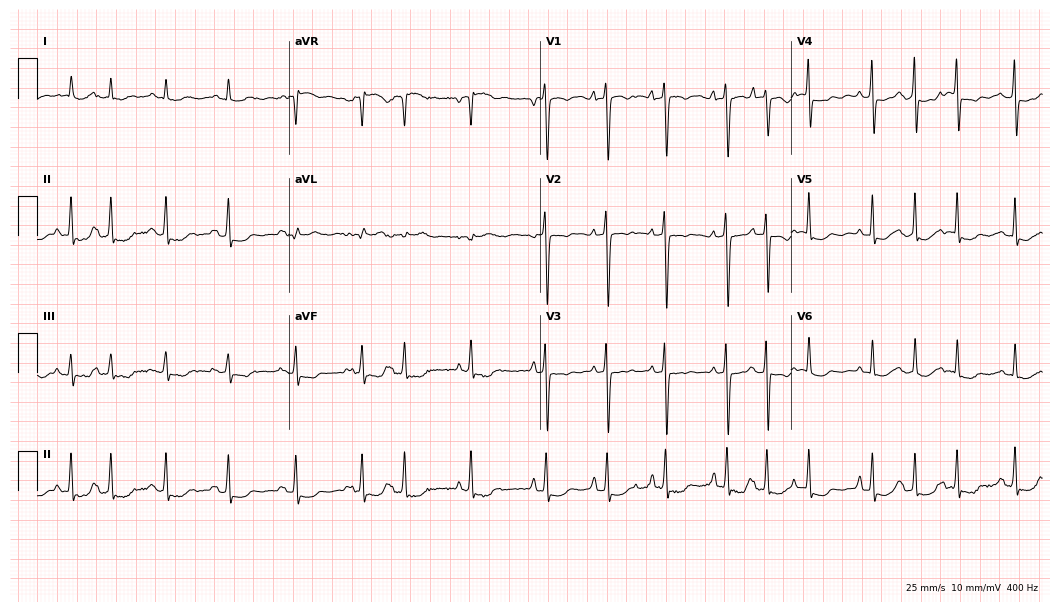
Electrocardiogram (10.2-second recording at 400 Hz), a 68-year-old female patient. Of the six screened findings (first-degree AV block, right bundle branch block, left bundle branch block, sinus bradycardia, atrial fibrillation, sinus tachycardia), none is recorded.